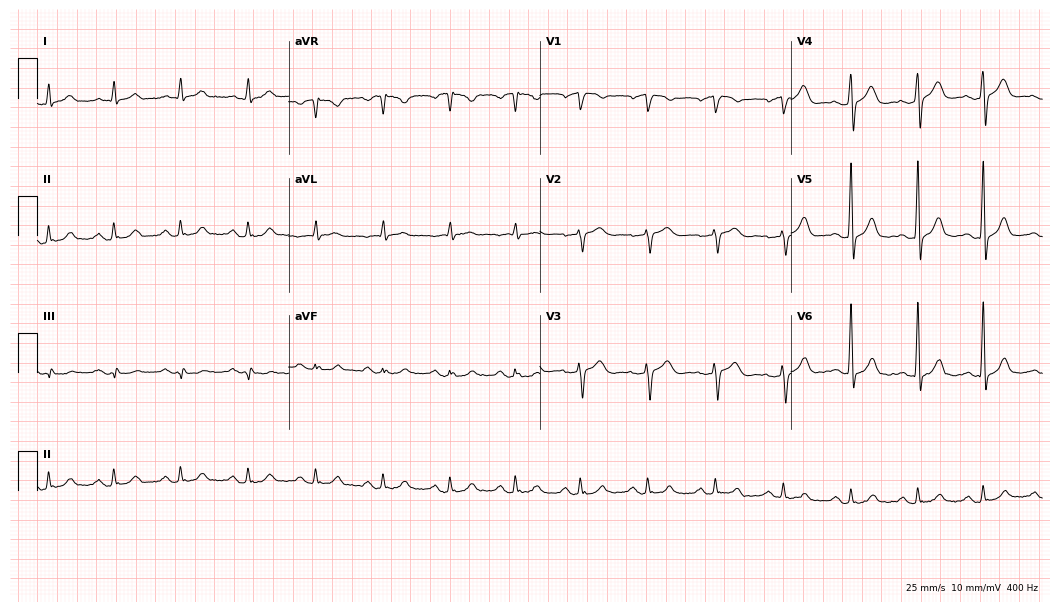
12-lead ECG (10.2-second recording at 400 Hz) from a 73-year-old male. Screened for six findings — first-degree AV block, right bundle branch block (RBBB), left bundle branch block (LBBB), sinus bradycardia, atrial fibrillation (AF), sinus tachycardia — none is recorded. Only these six findings were labelled.